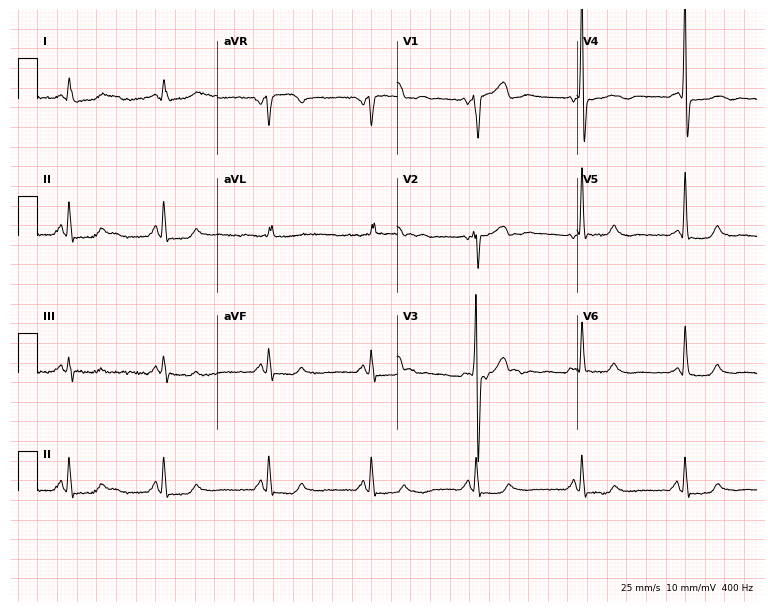
Resting 12-lead electrocardiogram (7.3-second recording at 400 Hz). Patient: a 71-year-old male. None of these six findings is recorded: first-degree AV block, right bundle branch block (RBBB), left bundle branch block (LBBB), sinus bradycardia, atrial fibrillation (AF), sinus tachycardia.